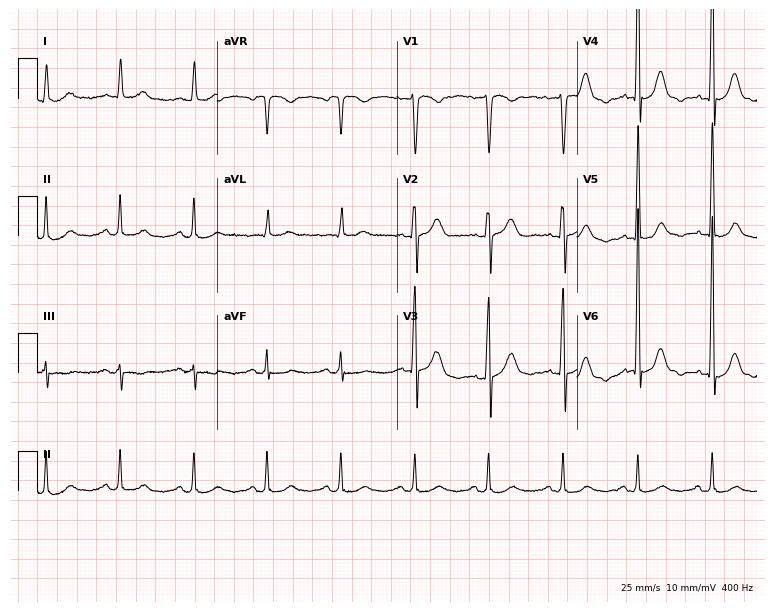
12-lead ECG from a male patient, 82 years old (7.3-second recording at 400 Hz). Recorded interpretation: within normal limits.